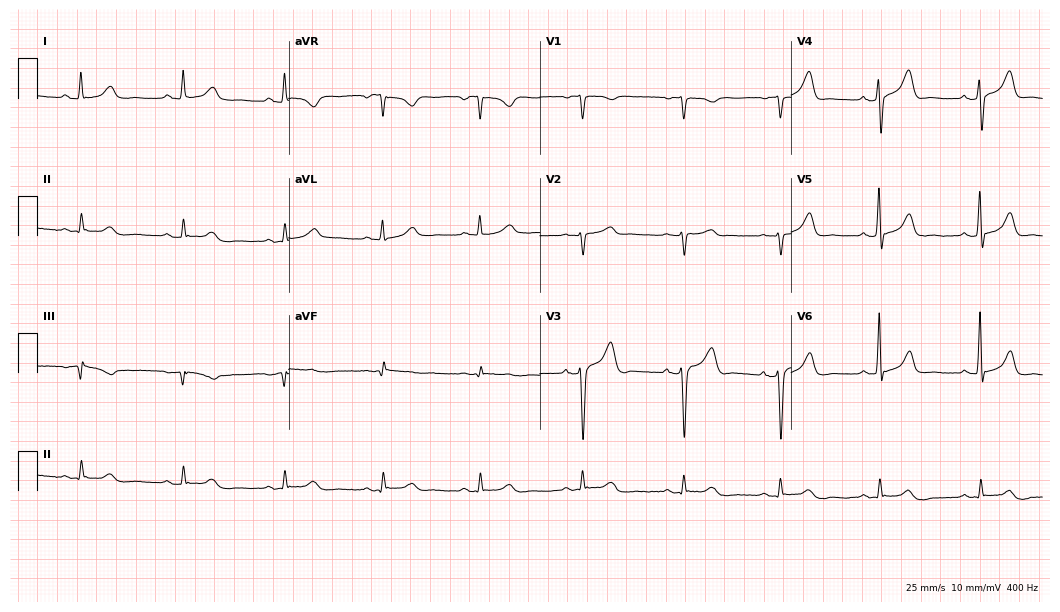
Resting 12-lead electrocardiogram. Patient: a 72-year-old male. Read as a normal ECG.